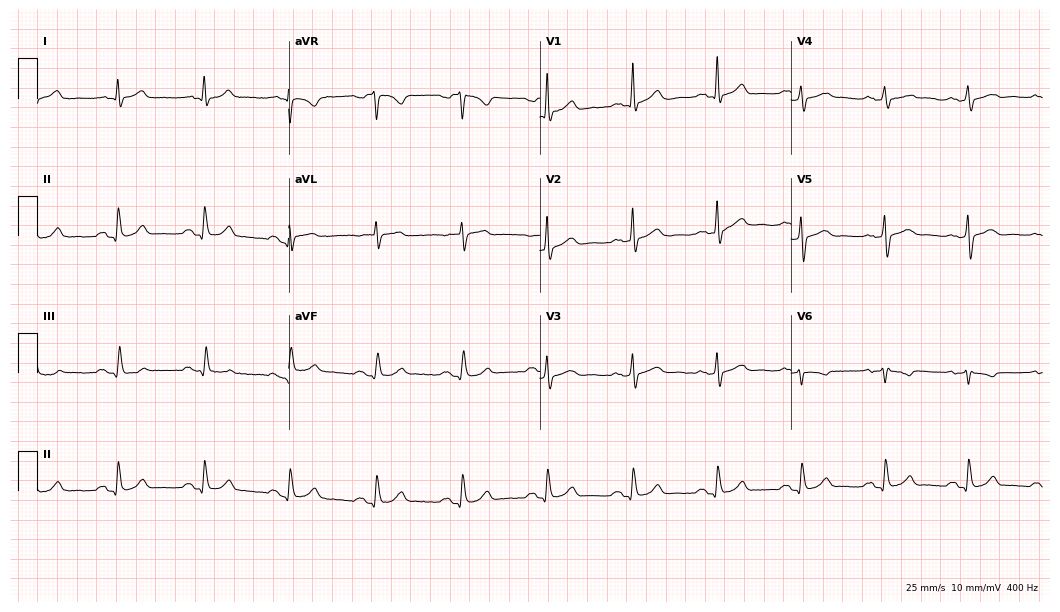
12-lead ECG from a 68-year-old male (10.2-second recording at 400 Hz). Recorded interpretation: within normal limits.